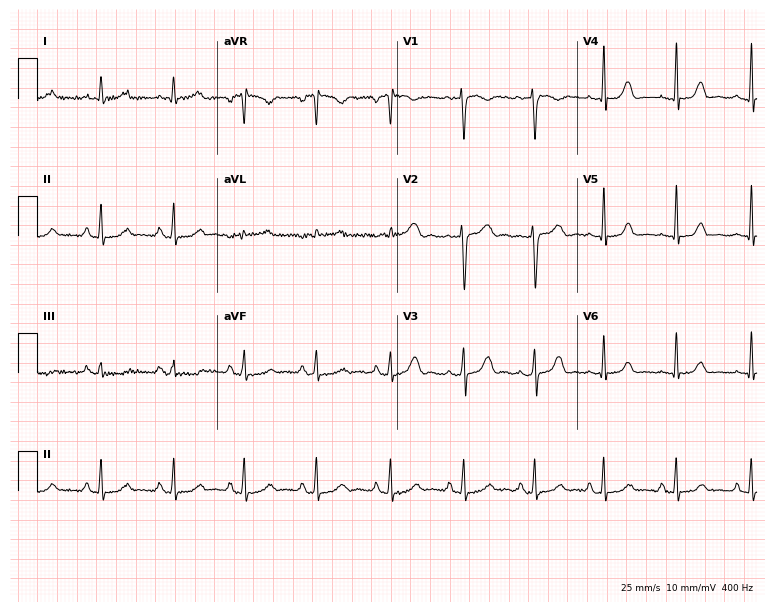
Standard 12-lead ECG recorded from a woman, 25 years old. Read as a normal ECG.